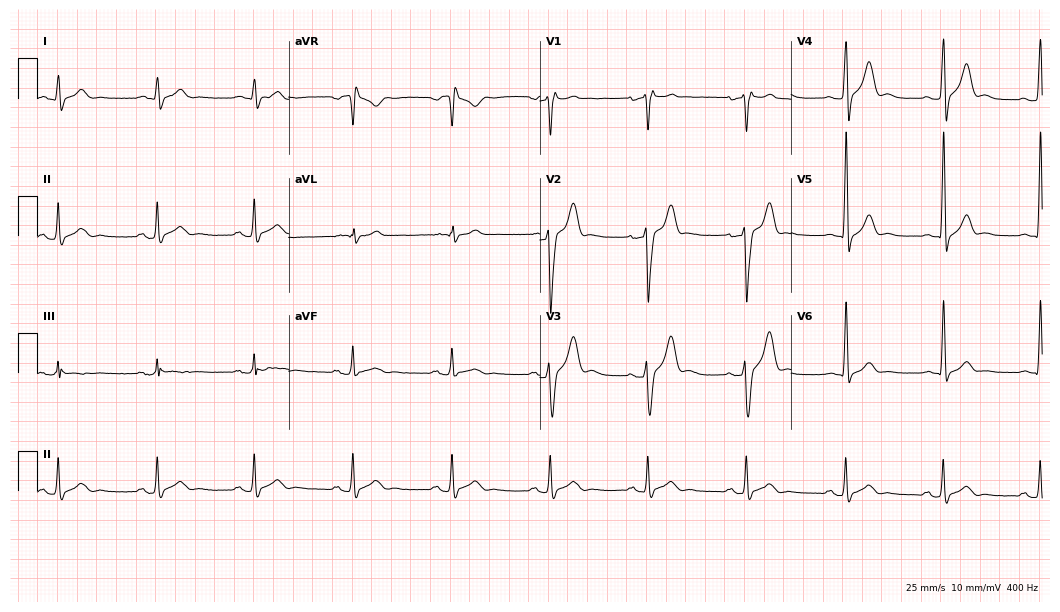
ECG (10.2-second recording at 400 Hz) — a 36-year-old male patient. Screened for six findings — first-degree AV block, right bundle branch block, left bundle branch block, sinus bradycardia, atrial fibrillation, sinus tachycardia — none is recorded. Only these six findings were labelled.